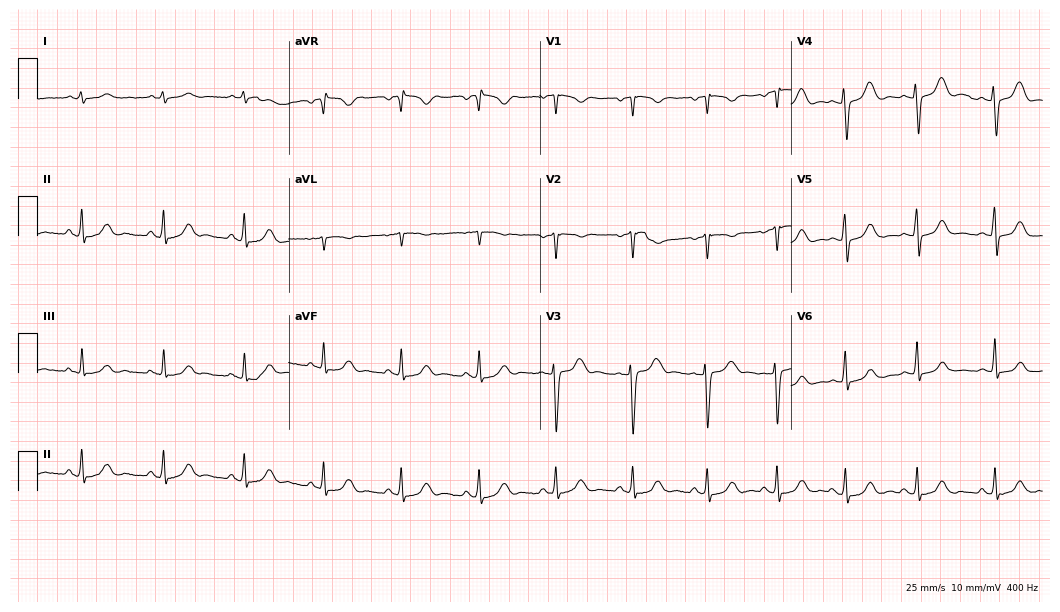
Standard 12-lead ECG recorded from a female patient, 31 years old (10.2-second recording at 400 Hz). Read as a normal ECG.